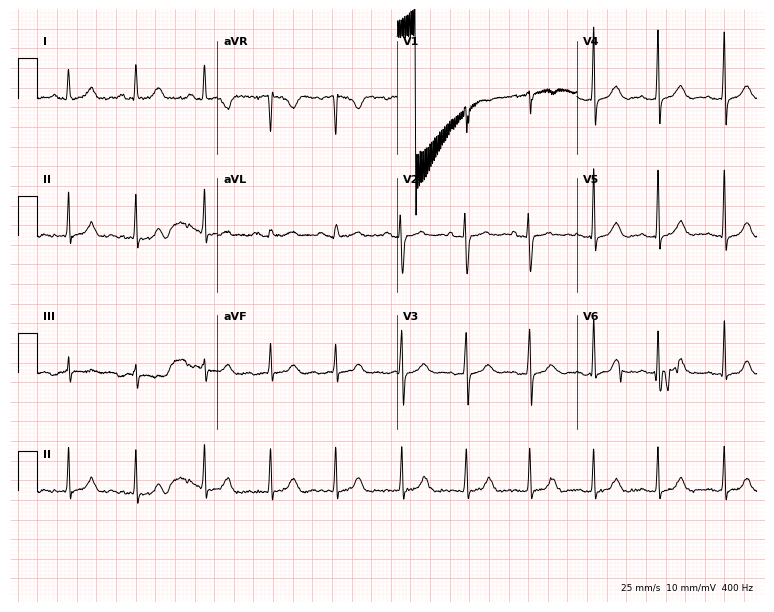
ECG — a female patient, 23 years old. Screened for six findings — first-degree AV block, right bundle branch block, left bundle branch block, sinus bradycardia, atrial fibrillation, sinus tachycardia — none is recorded.